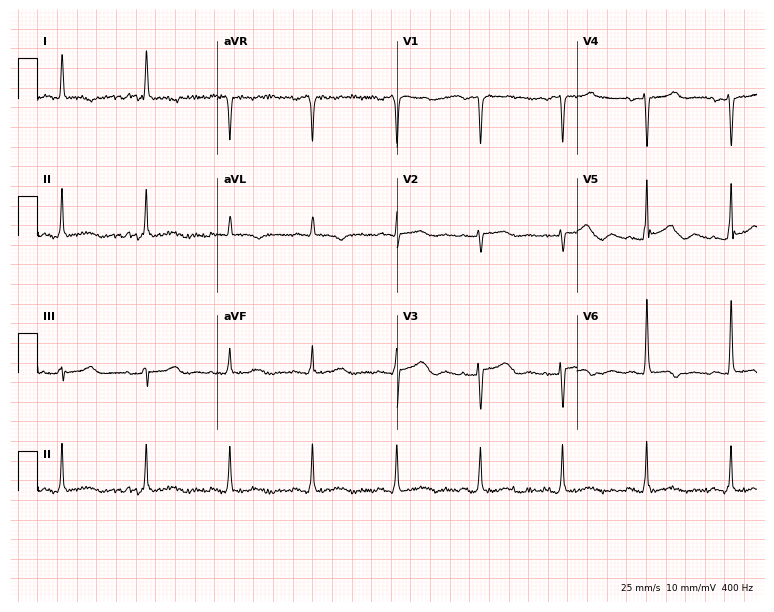
ECG (7.3-second recording at 400 Hz) — a 61-year-old female patient. Labelled as a normal ECG.